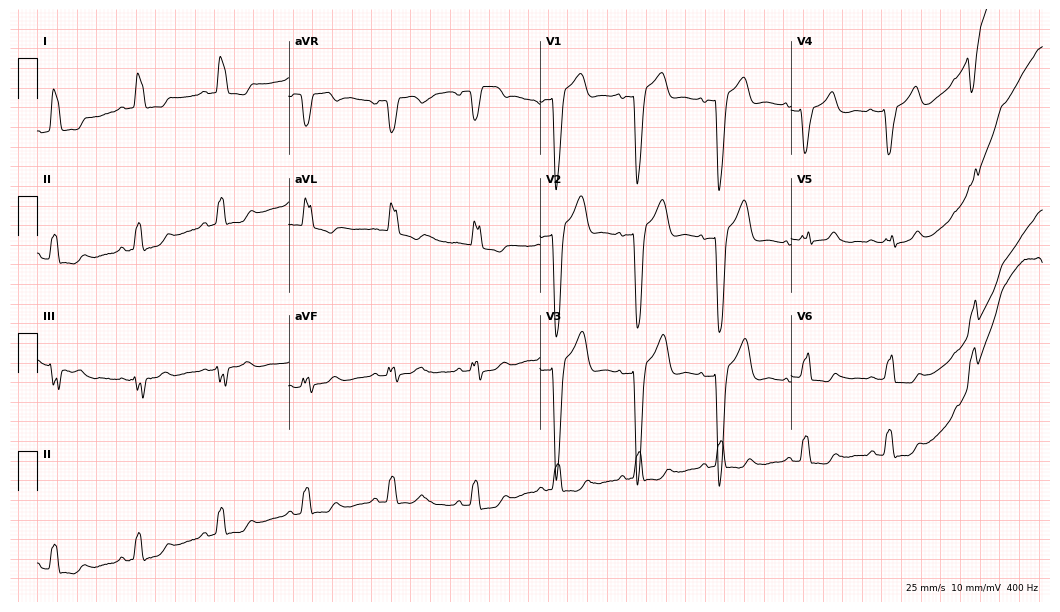
Standard 12-lead ECG recorded from a female, 43 years old. The tracing shows left bundle branch block.